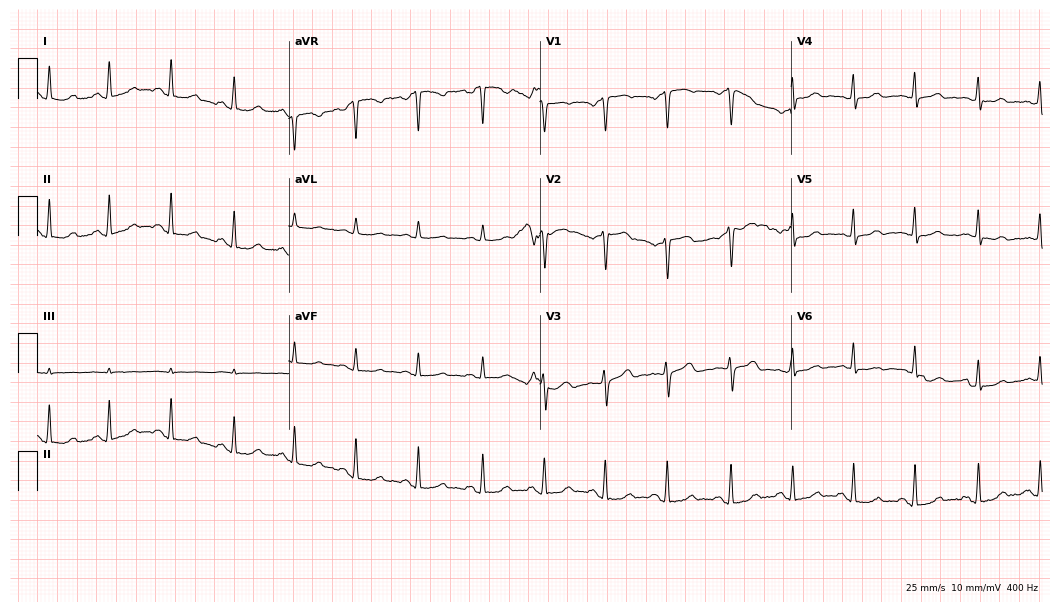
12-lead ECG from a female, 53 years old (10.2-second recording at 400 Hz). Recorded interpretation: within normal limits.